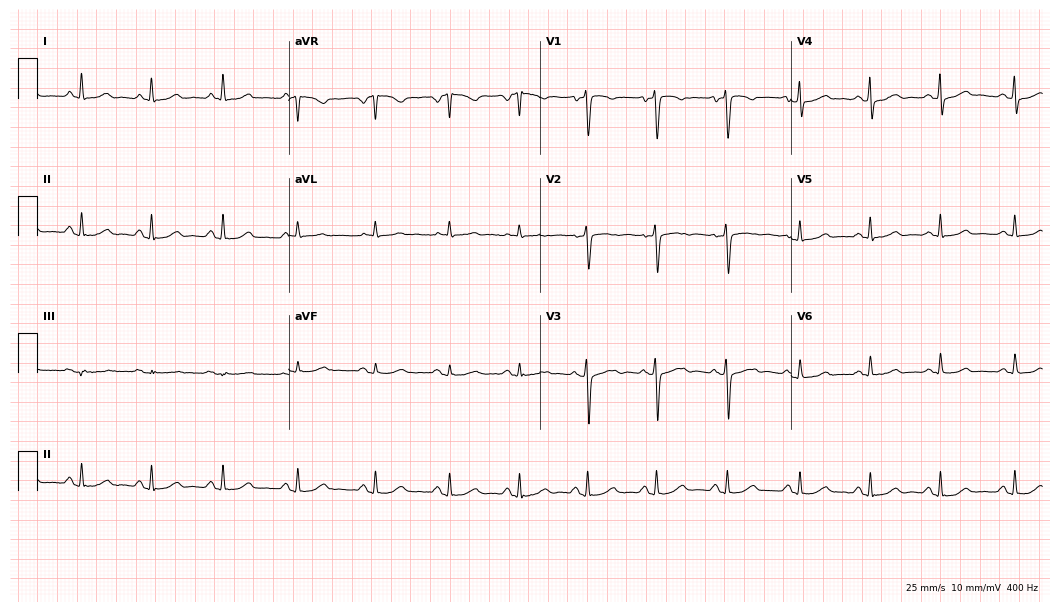
12-lead ECG (10.2-second recording at 400 Hz) from a female patient, 27 years old. Screened for six findings — first-degree AV block, right bundle branch block, left bundle branch block, sinus bradycardia, atrial fibrillation, sinus tachycardia — none is recorded. Other findings, if any, are not listed.